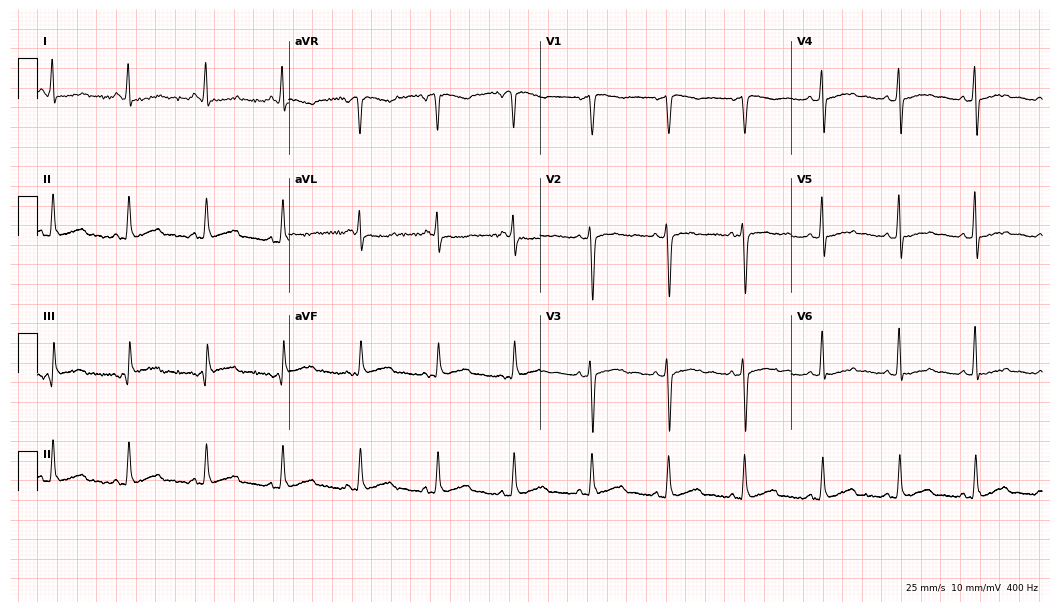
12-lead ECG from a woman, 53 years old (10.2-second recording at 400 Hz). No first-degree AV block, right bundle branch block, left bundle branch block, sinus bradycardia, atrial fibrillation or sinus tachycardia recorded for this tracing.